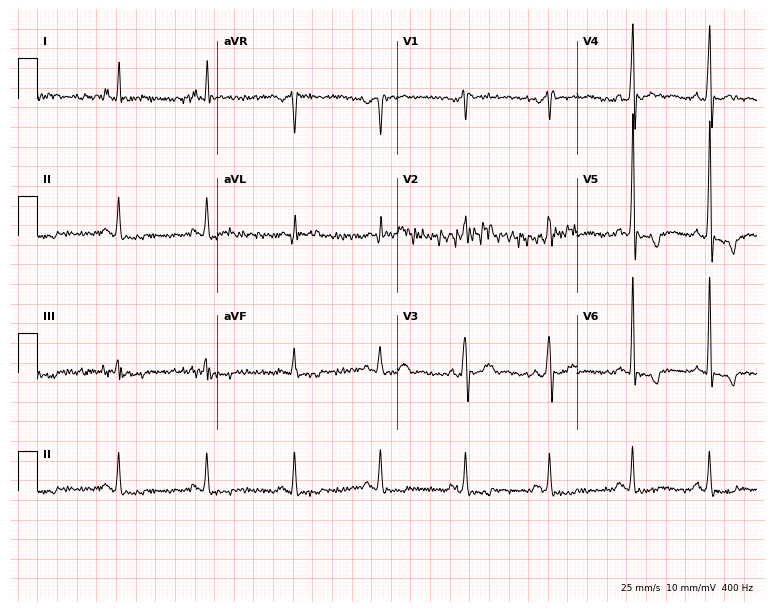
Resting 12-lead electrocardiogram. Patient: a 39-year-old man. None of these six findings is recorded: first-degree AV block, right bundle branch block, left bundle branch block, sinus bradycardia, atrial fibrillation, sinus tachycardia. Other findings, if any, are not listed.